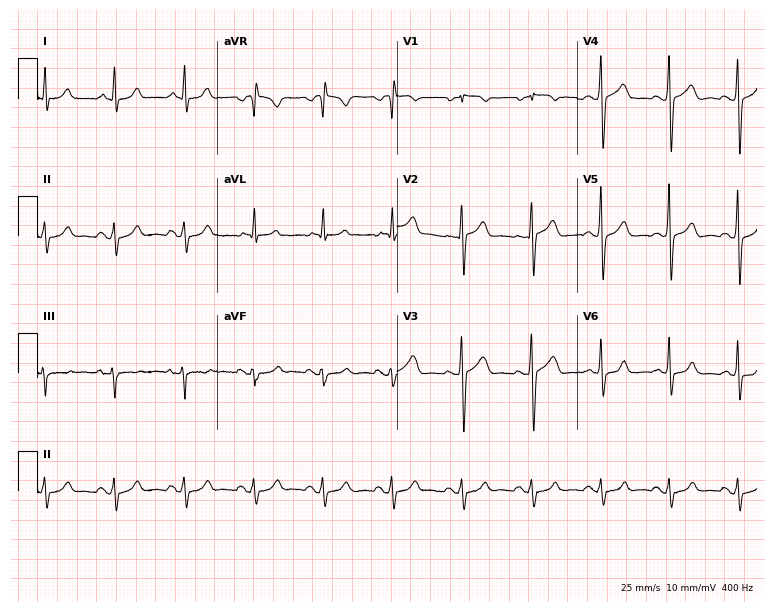
Electrocardiogram, a 72-year-old man. Of the six screened findings (first-degree AV block, right bundle branch block, left bundle branch block, sinus bradycardia, atrial fibrillation, sinus tachycardia), none is recorded. Only these six findings were labelled.